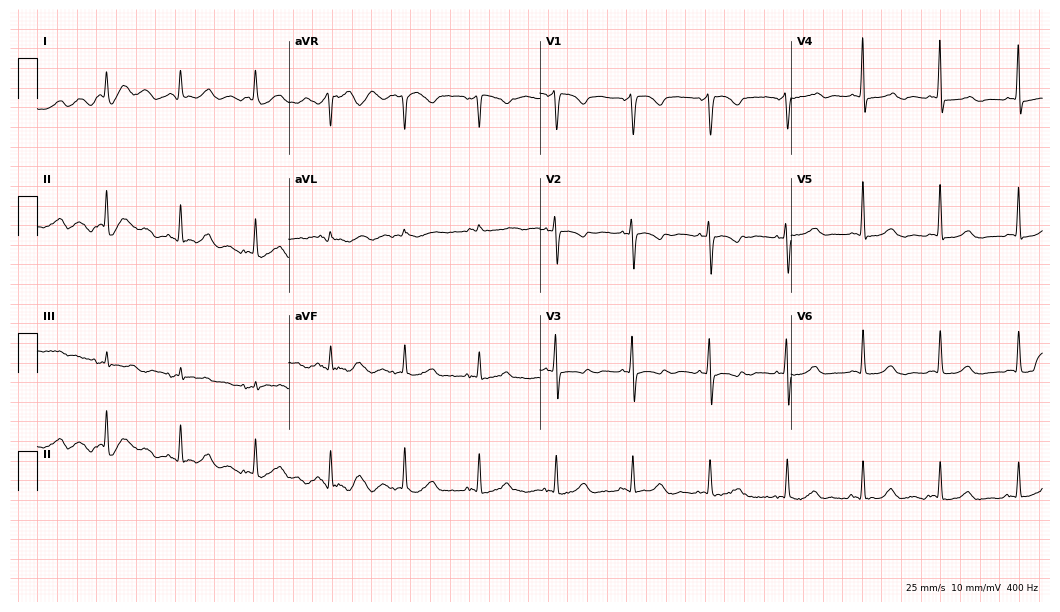
ECG (10.2-second recording at 400 Hz) — a woman, 74 years old. Screened for six findings — first-degree AV block, right bundle branch block (RBBB), left bundle branch block (LBBB), sinus bradycardia, atrial fibrillation (AF), sinus tachycardia — none is recorded. Other findings, if any, are not listed.